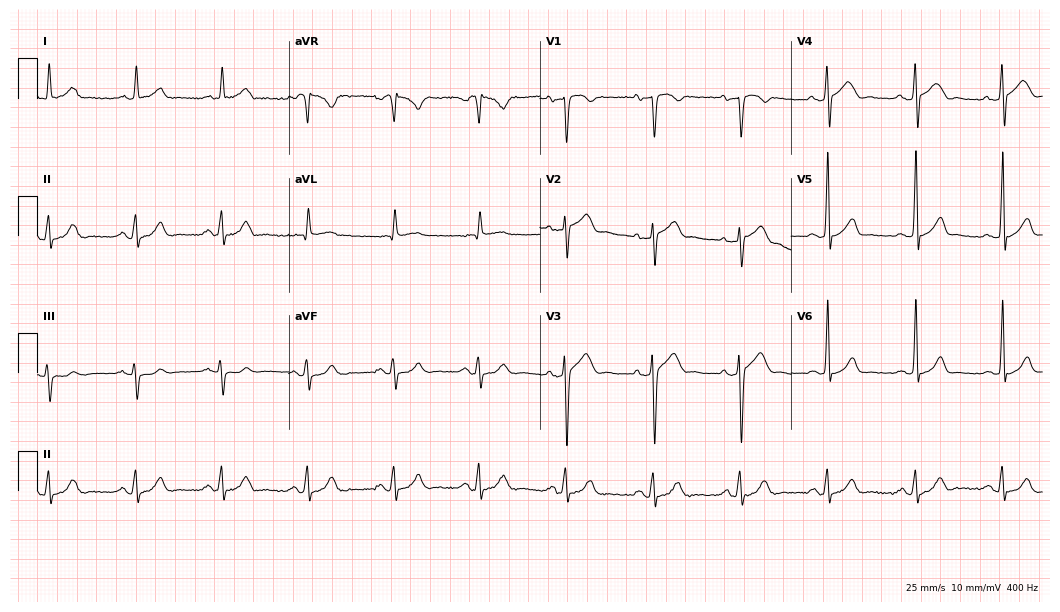
12-lead ECG from a 39-year-old man (10.2-second recording at 400 Hz). Recorded interpretation: within normal limits.